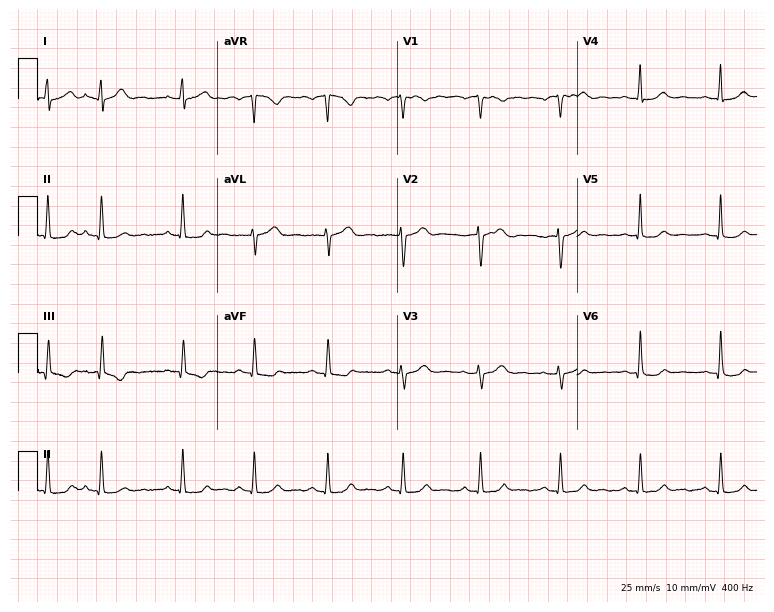
Standard 12-lead ECG recorded from a woman, 53 years old. None of these six findings is recorded: first-degree AV block, right bundle branch block, left bundle branch block, sinus bradycardia, atrial fibrillation, sinus tachycardia.